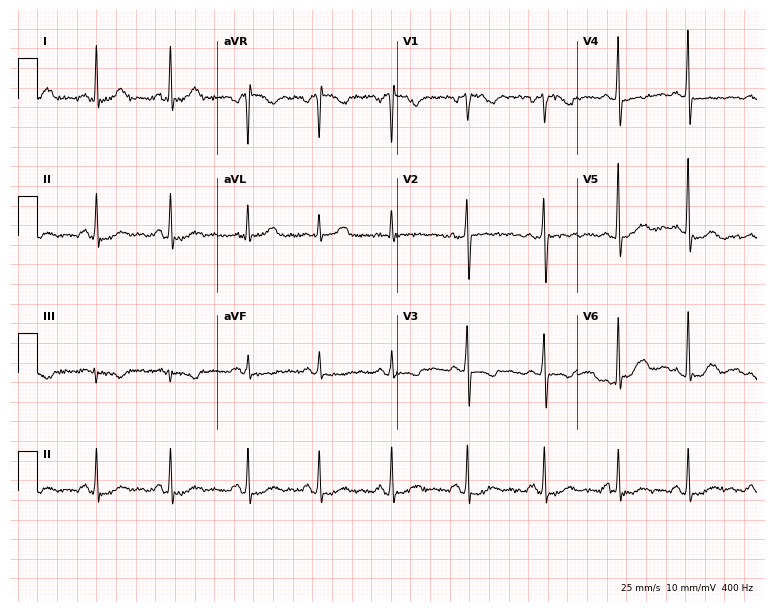
12-lead ECG from a woman, 52 years old. Recorded interpretation: within normal limits.